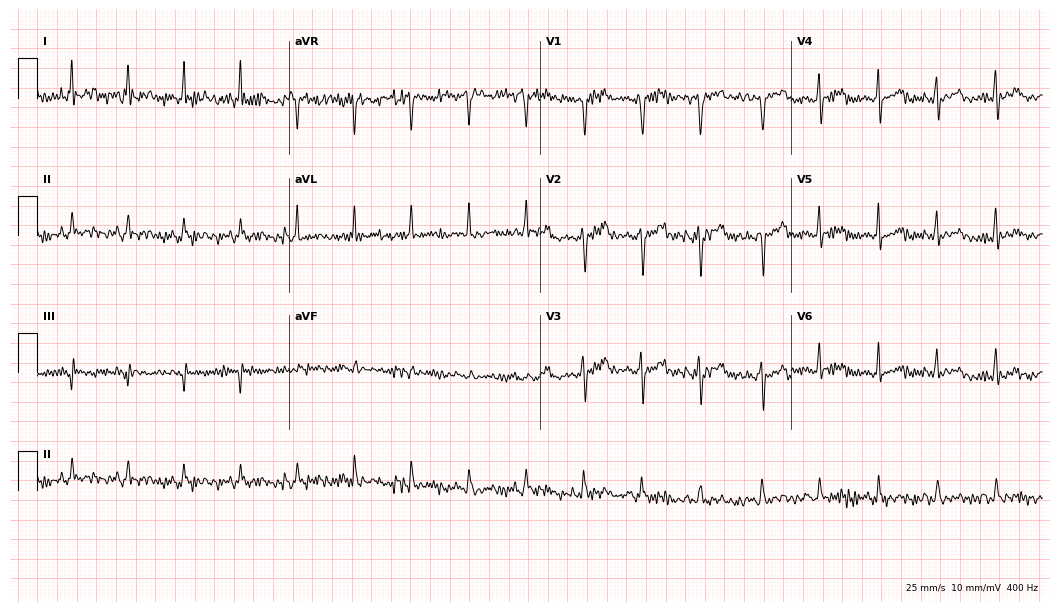
ECG — a 42-year-old woman. Screened for six findings — first-degree AV block, right bundle branch block, left bundle branch block, sinus bradycardia, atrial fibrillation, sinus tachycardia — none is recorded. Other findings, if any, are not listed.